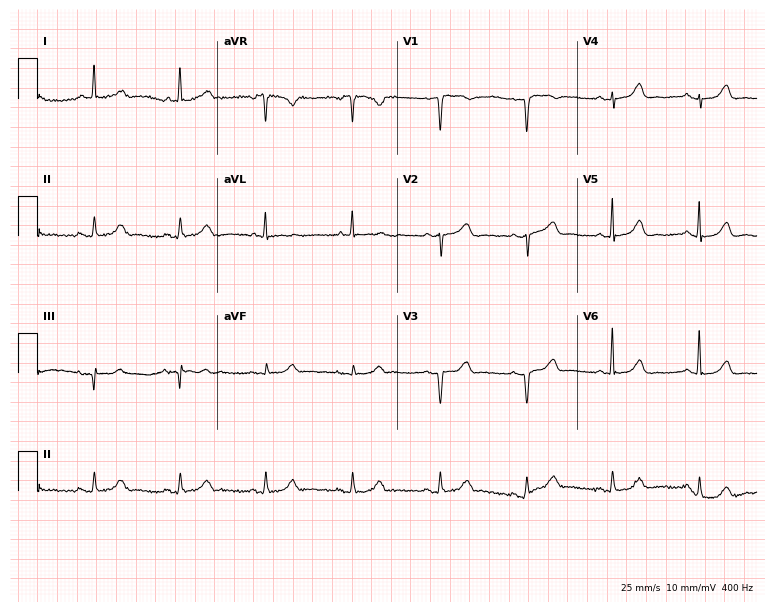
Standard 12-lead ECG recorded from a 65-year-old female patient (7.3-second recording at 400 Hz). None of these six findings is recorded: first-degree AV block, right bundle branch block (RBBB), left bundle branch block (LBBB), sinus bradycardia, atrial fibrillation (AF), sinus tachycardia.